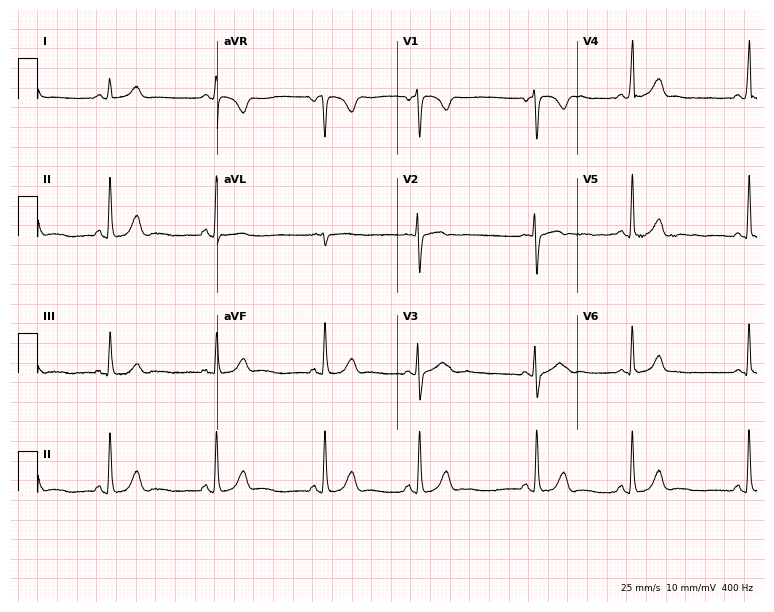
Resting 12-lead electrocardiogram (7.3-second recording at 400 Hz). Patient: a 22-year-old female. Read as a normal ECG.